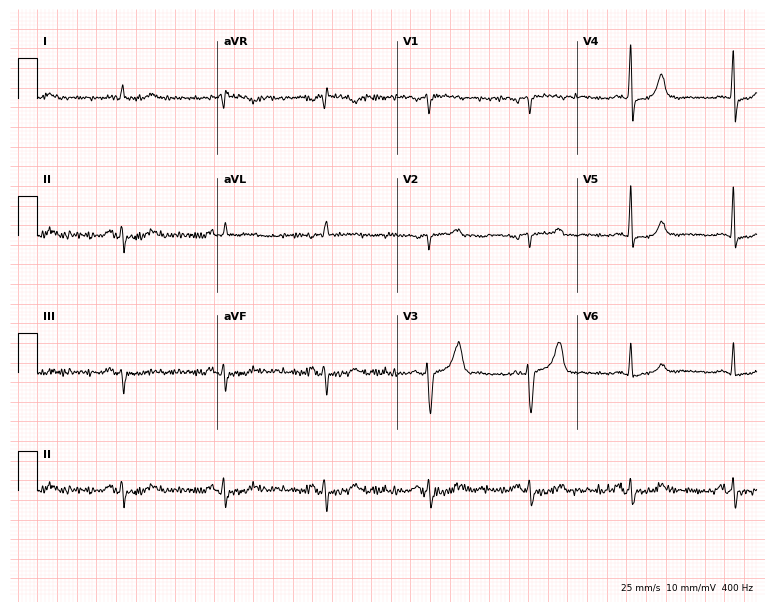
12-lead ECG from a male, 57 years old. No first-degree AV block, right bundle branch block (RBBB), left bundle branch block (LBBB), sinus bradycardia, atrial fibrillation (AF) or sinus tachycardia recorded for this tracing.